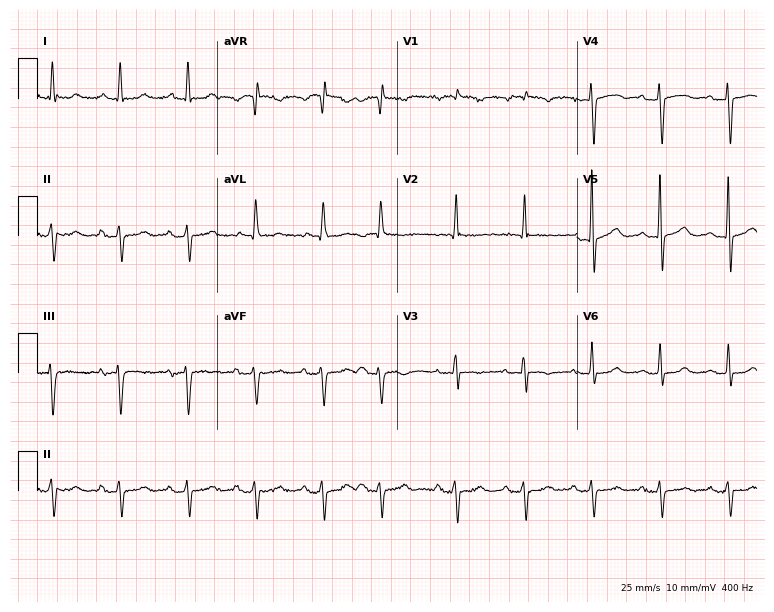
Electrocardiogram, an 80-year-old female patient. Of the six screened findings (first-degree AV block, right bundle branch block (RBBB), left bundle branch block (LBBB), sinus bradycardia, atrial fibrillation (AF), sinus tachycardia), none is recorded. Findings outside these six are not listed.